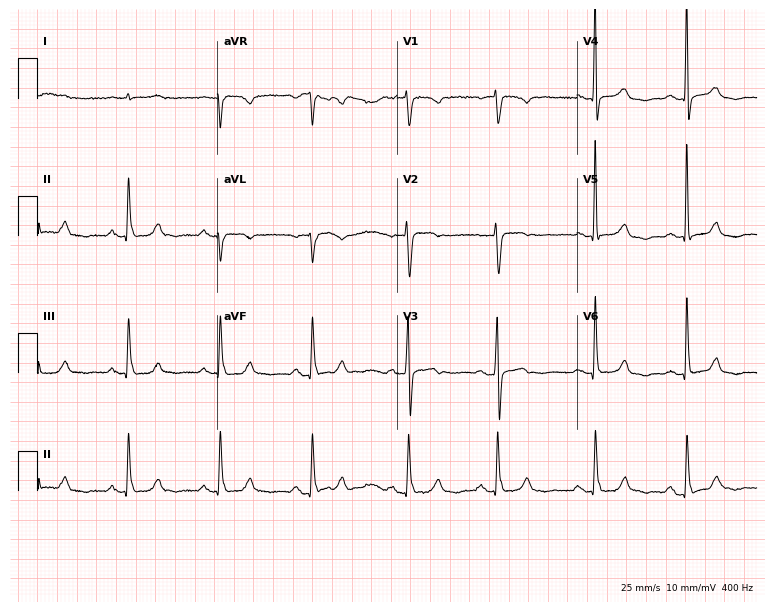
Standard 12-lead ECG recorded from a 51-year-old female patient (7.3-second recording at 400 Hz). Read as a normal ECG.